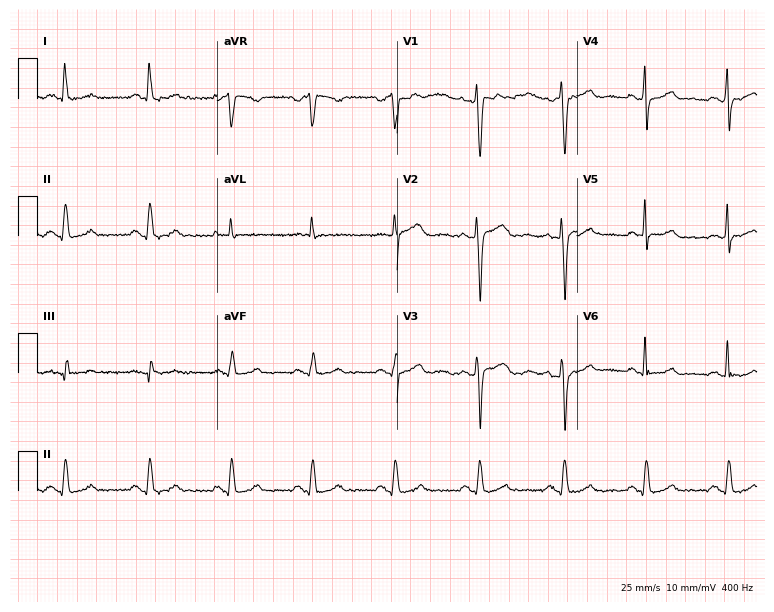
Resting 12-lead electrocardiogram. Patient: a male, 46 years old. None of these six findings is recorded: first-degree AV block, right bundle branch block, left bundle branch block, sinus bradycardia, atrial fibrillation, sinus tachycardia. Other findings, if any, are not listed.